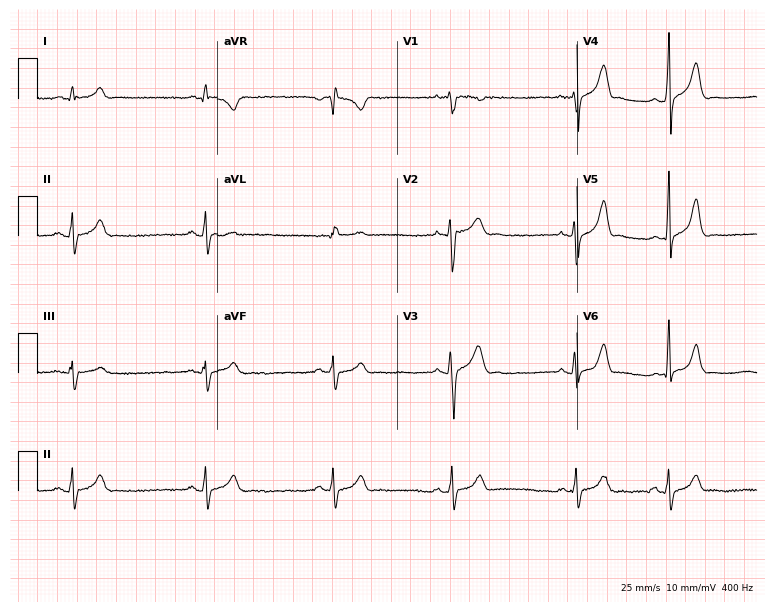
12-lead ECG from a 19-year-old male patient. Recorded interpretation: within normal limits.